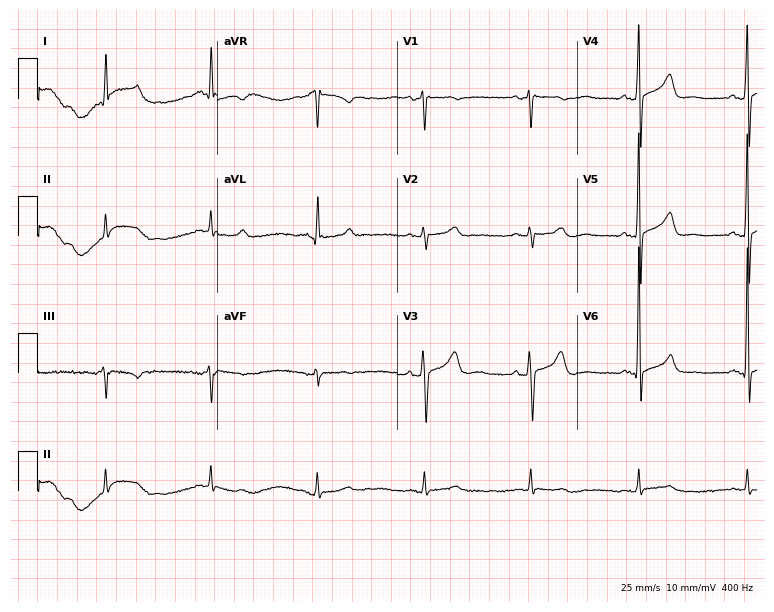
Electrocardiogram (7.3-second recording at 400 Hz), a male, 53 years old. Of the six screened findings (first-degree AV block, right bundle branch block, left bundle branch block, sinus bradycardia, atrial fibrillation, sinus tachycardia), none is recorded. Only these six findings were labelled.